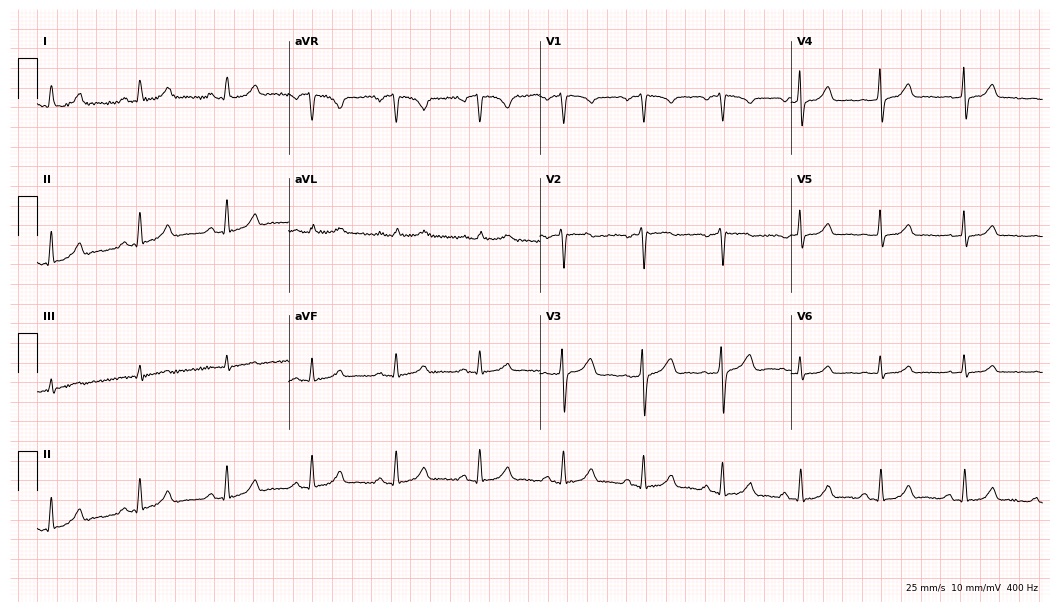
12-lead ECG from a woman, 47 years old. Labelled as a normal ECG.